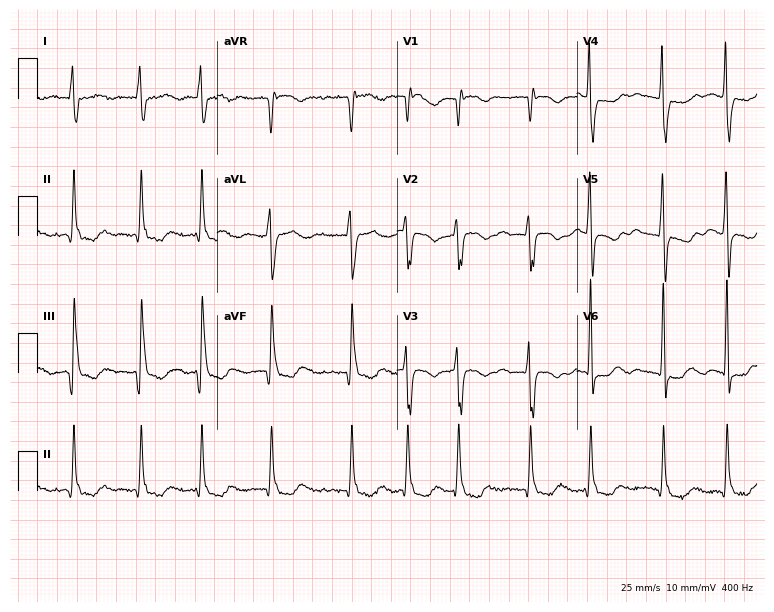
Electrocardiogram, a 49-year-old woman. Interpretation includes atrial fibrillation (AF).